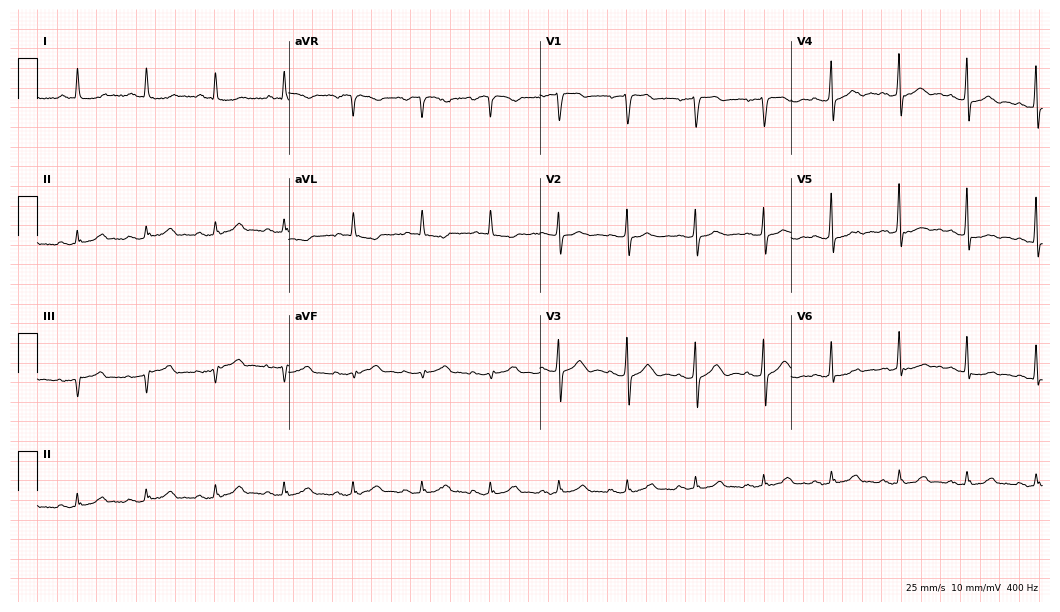
Standard 12-lead ECG recorded from a male, 85 years old (10.2-second recording at 400 Hz). Read as a normal ECG.